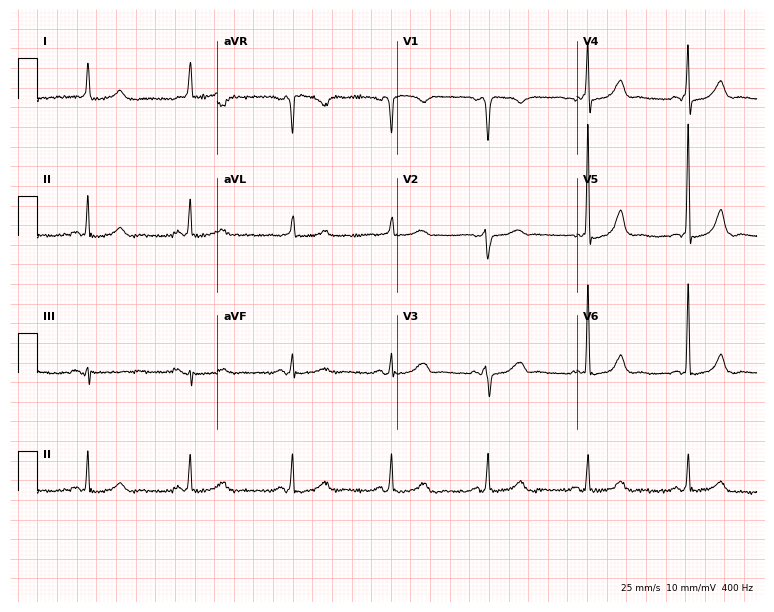
Standard 12-lead ECG recorded from a 66-year-old female patient (7.3-second recording at 400 Hz). None of these six findings is recorded: first-degree AV block, right bundle branch block (RBBB), left bundle branch block (LBBB), sinus bradycardia, atrial fibrillation (AF), sinus tachycardia.